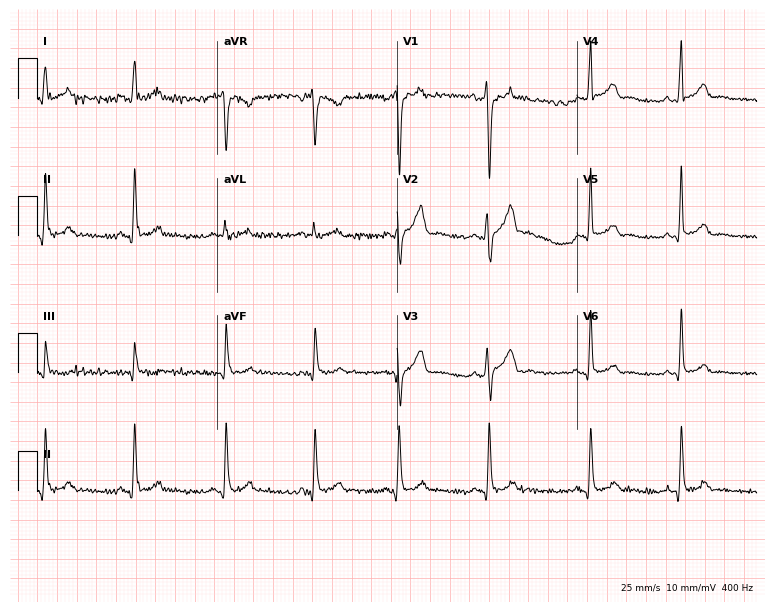
ECG (7.3-second recording at 400 Hz) — a 28-year-old male. Screened for six findings — first-degree AV block, right bundle branch block, left bundle branch block, sinus bradycardia, atrial fibrillation, sinus tachycardia — none is recorded. Only these six findings were labelled.